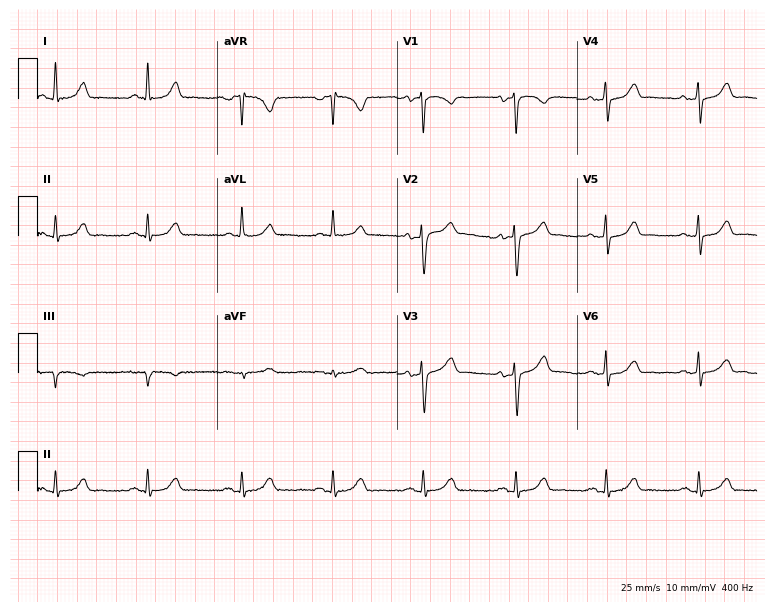
Standard 12-lead ECG recorded from a 61-year-old female patient (7.3-second recording at 400 Hz). None of these six findings is recorded: first-degree AV block, right bundle branch block (RBBB), left bundle branch block (LBBB), sinus bradycardia, atrial fibrillation (AF), sinus tachycardia.